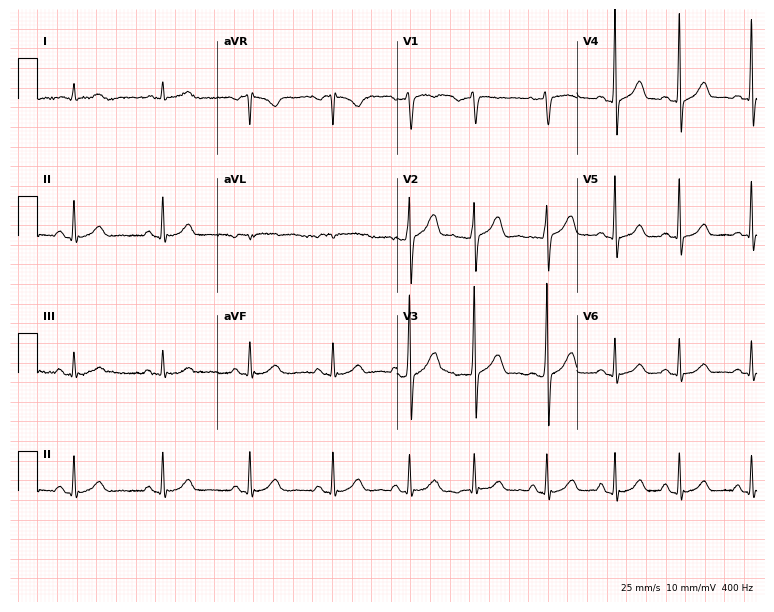
12-lead ECG from a male, 42 years old. Labelled as a normal ECG.